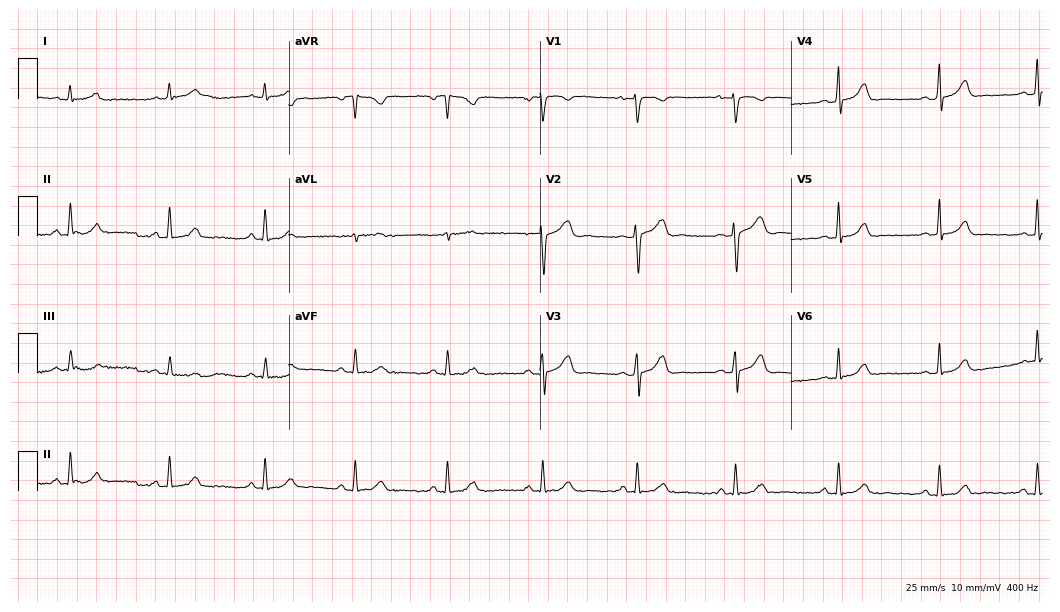
Resting 12-lead electrocardiogram. Patient: a 37-year-old female. Read as a normal ECG.